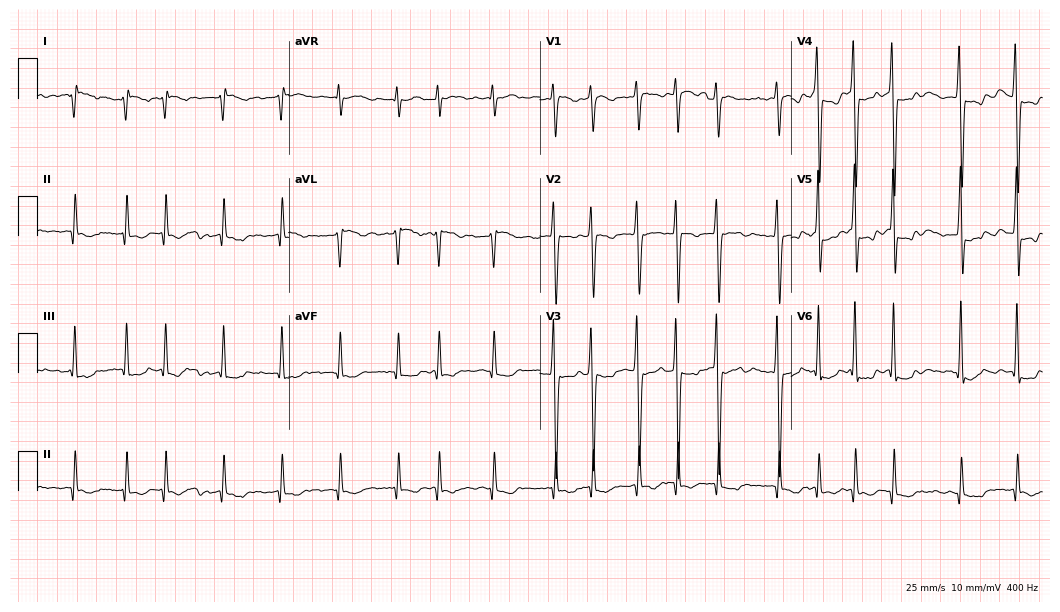
Electrocardiogram (10.2-second recording at 400 Hz), a male, 60 years old. Interpretation includes atrial fibrillation.